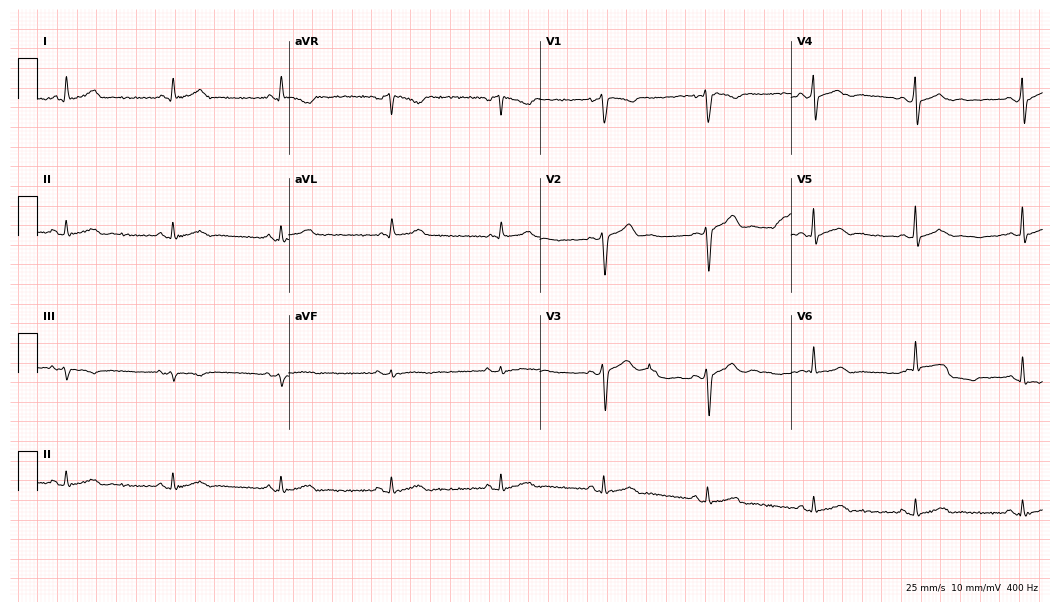
12-lead ECG (10.2-second recording at 400 Hz) from a male, 36 years old. Labelled as a normal ECG.